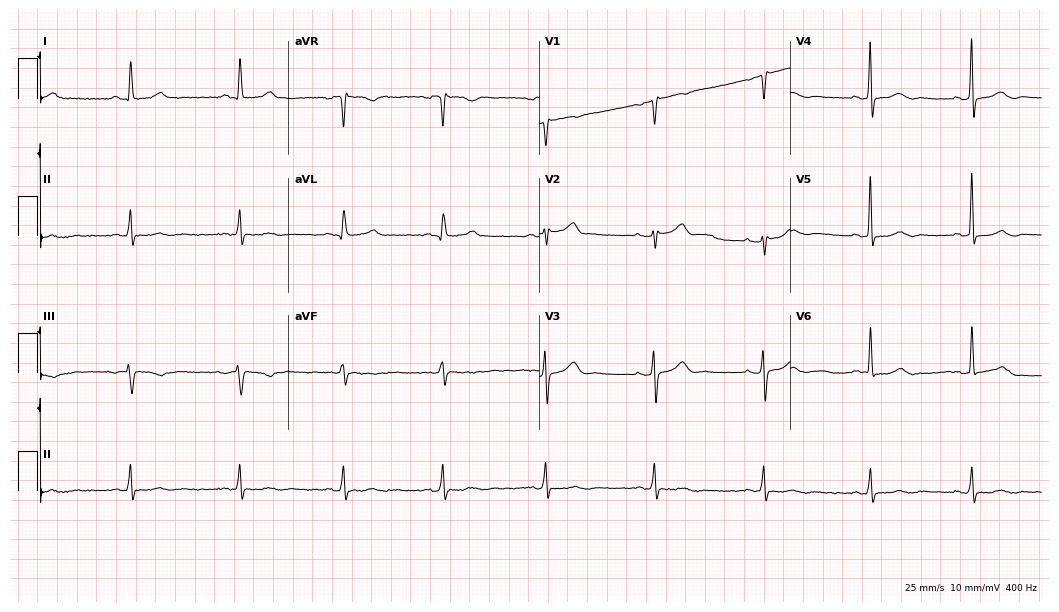
ECG (10.2-second recording at 400 Hz) — a 48-year-old female. Labelled as a normal ECG.